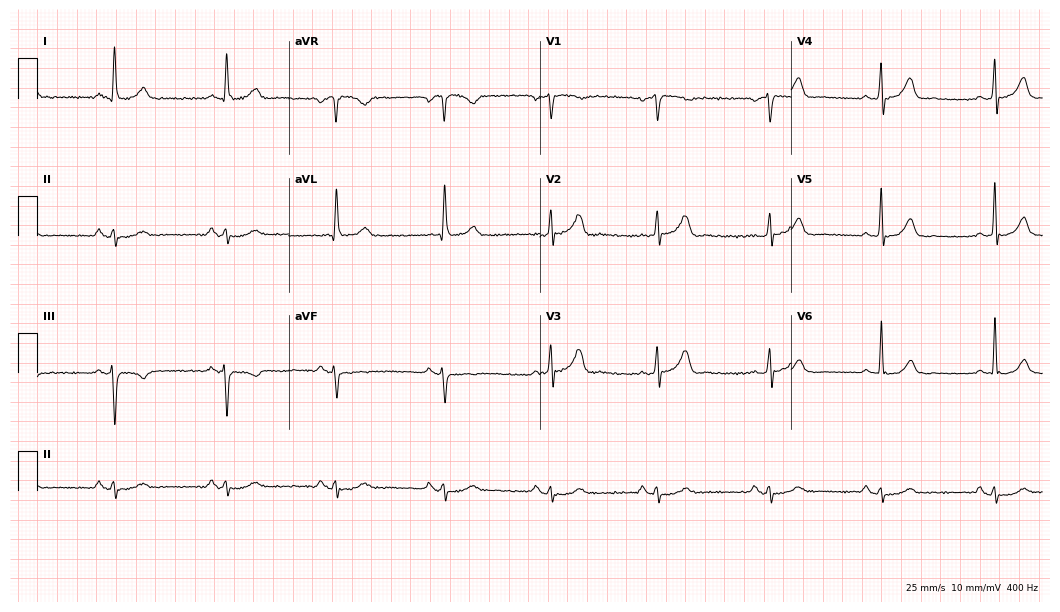
Electrocardiogram, a 63-year-old male. Of the six screened findings (first-degree AV block, right bundle branch block, left bundle branch block, sinus bradycardia, atrial fibrillation, sinus tachycardia), none is recorded.